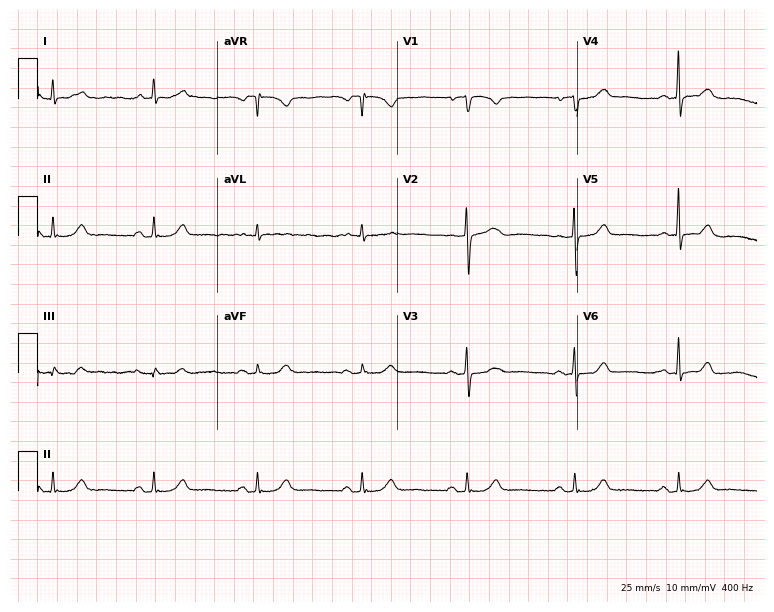
Electrocardiogram, a female patient, 55 years old. Of the six screened findings (first-degree AV block, right bundle branch block, left bundle branch block, sinus bradycardia, atrial fibrillation, sinus tachycardia), none is recorded.